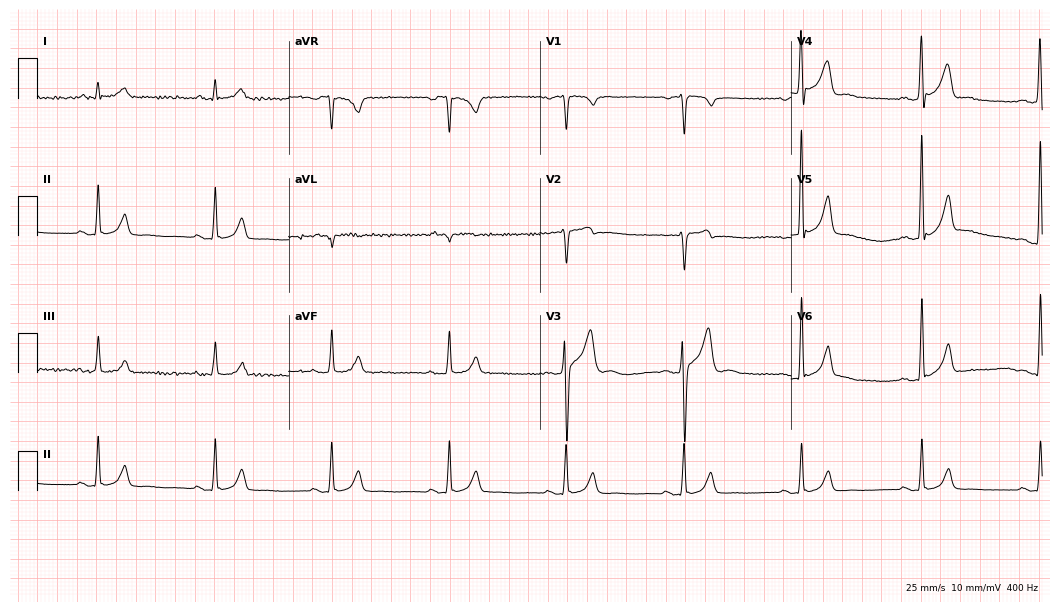
12-lead ECG from a 41-year-old male patient. No first-degree AV block, right bundle branch block (RBBB), left bundle branch block (LBBB), sinus bradycardia, atrial fibrillation (AF) or sinus tachycardia recorded for this tracing. Other findings, if any, are not listed.